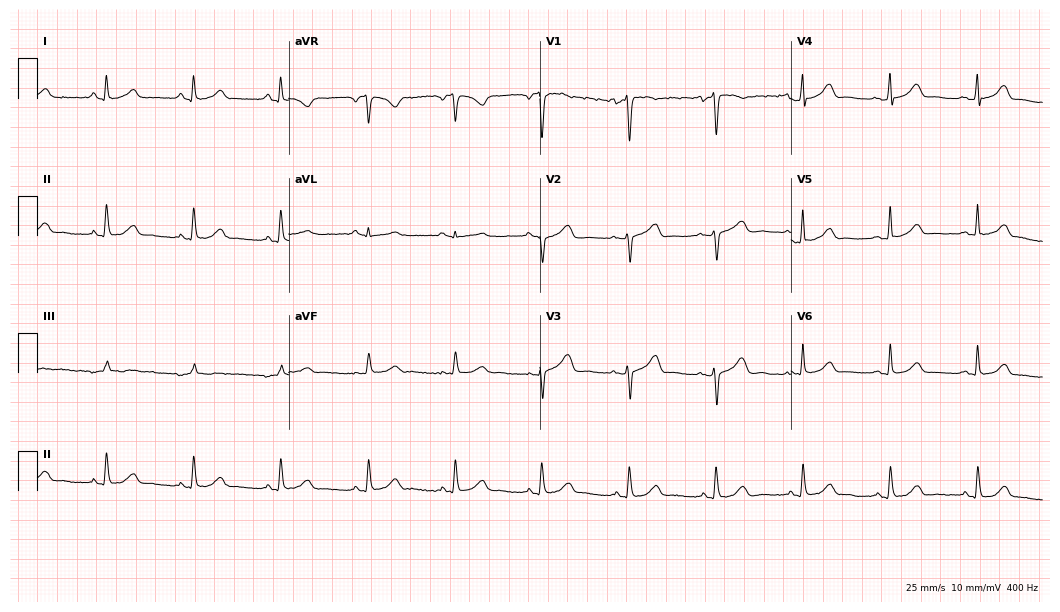
ECG — a 38-year-old female patient. Labelled as a normal ECG.